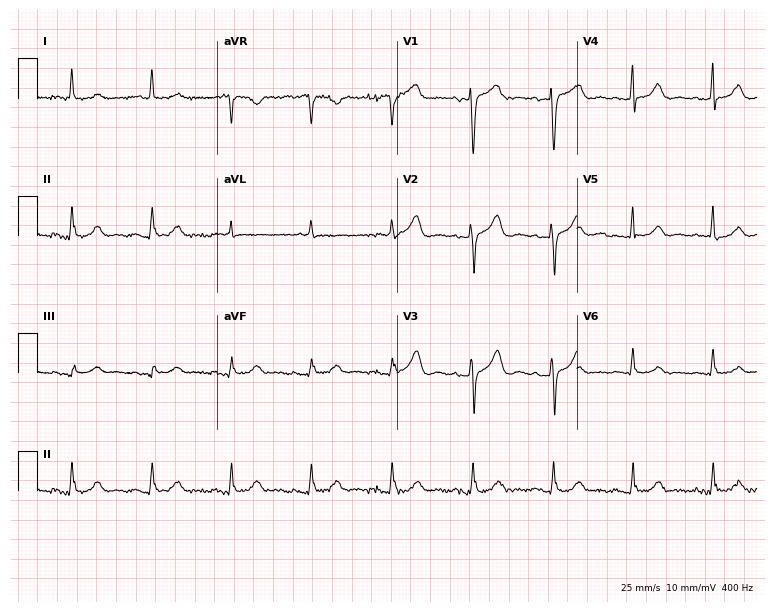
ECG — a woman, 80 years old. Labelled as a normal ECG.